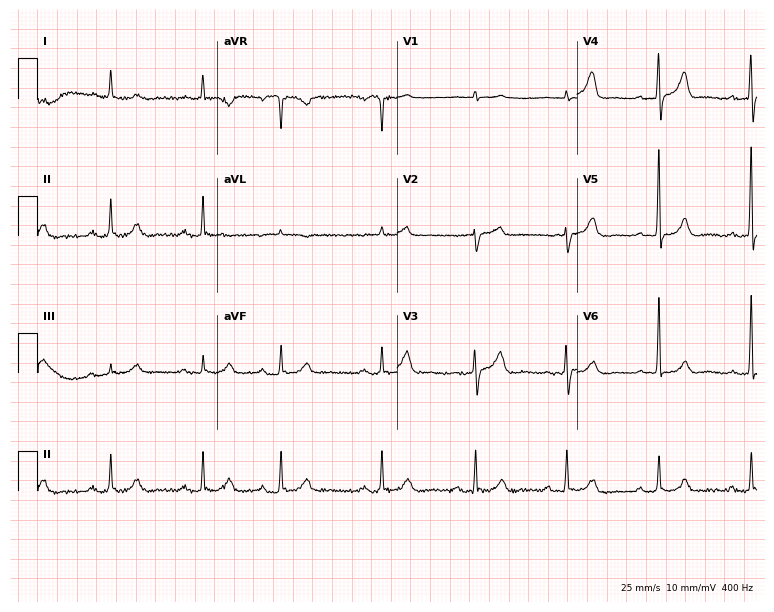
Electrocardiogram (7.3-second recording at 400 Hz), a male patient, 82 years old. Overall reading on record: normal ECG.